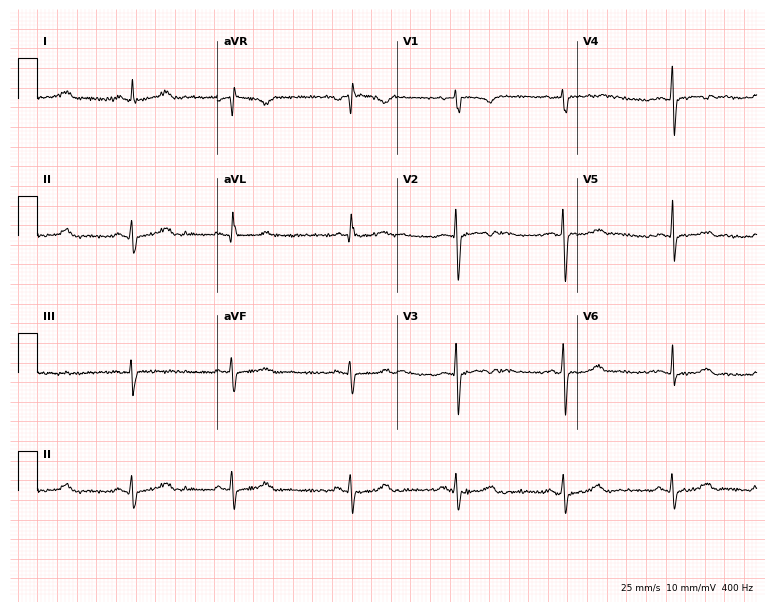
Resting 12-lead electrocardiogram. Patient: a 28-year-old female. Read as a normal ECG.